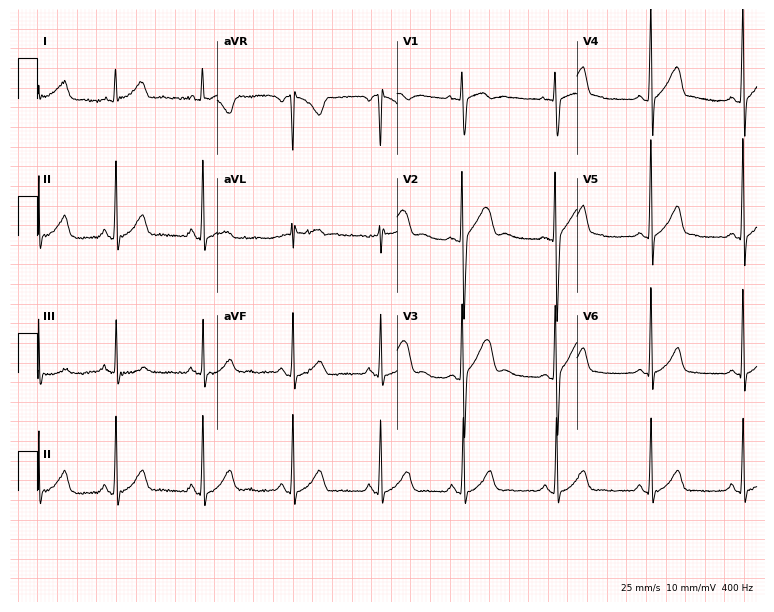
Resting 12-lead electrocardiogram (7.3-second recording at 400 Hz). Patient: a 20-year-old woman. None of these six findings is recorded: first-degree AV block, right bundle branch block, left bundle branch block, sinus bradycardia, atrial fibrillation, sinus tachycardia. Other findings, if any, are not listed.